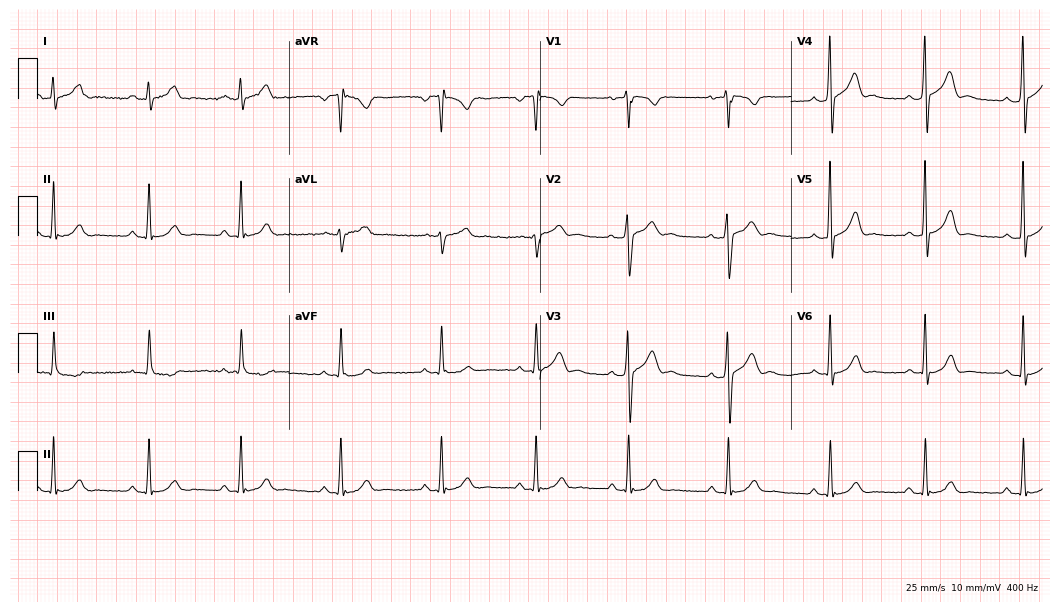
Resting 12-lead electrocardiogram. Patient: a male, 32 years old. Read as a normal ECG.